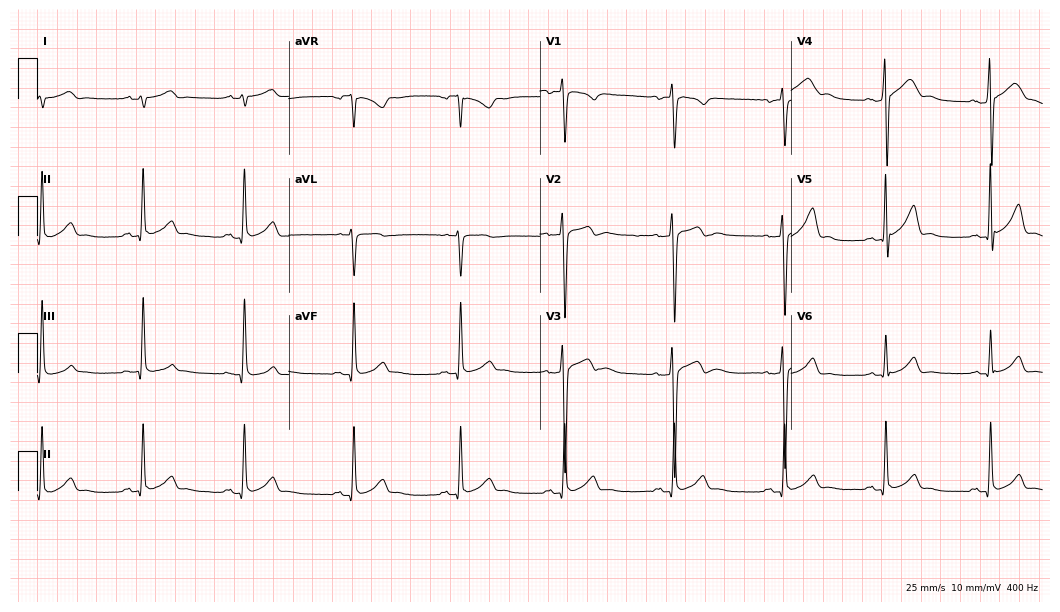
ECG — a man, 24 years old. Screened for six findings — first-degree AV block, right bundle branch block, left bundle branch block, sinus bradycardia, atrial fibrillation, sinus tachycardia — none is recorded. Only these six findings were labelled.